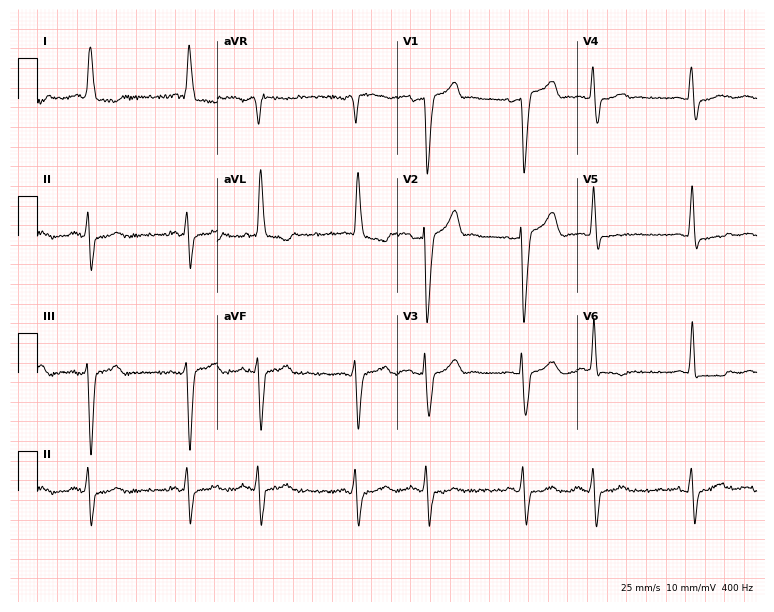
Electrocardiogram, a female patient, 78 years old. Interpretation includes left bundle branch block.